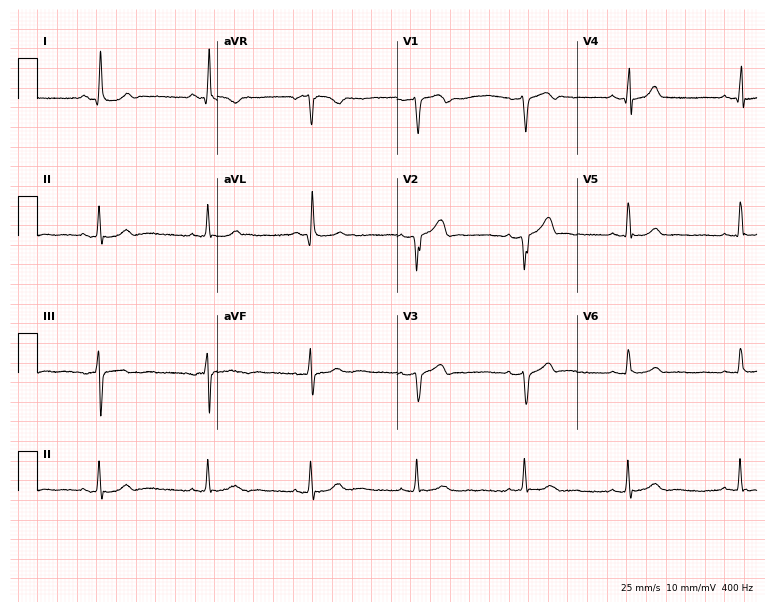
12-lead ECG from a 56-year-old male. No first-degree AV block, right bundle branch block (RBBB), left bundle branch block (LBBB), sinus bradycardia, atrial fibrillation (AF) or sinus tachycardia recorded for this tracing.